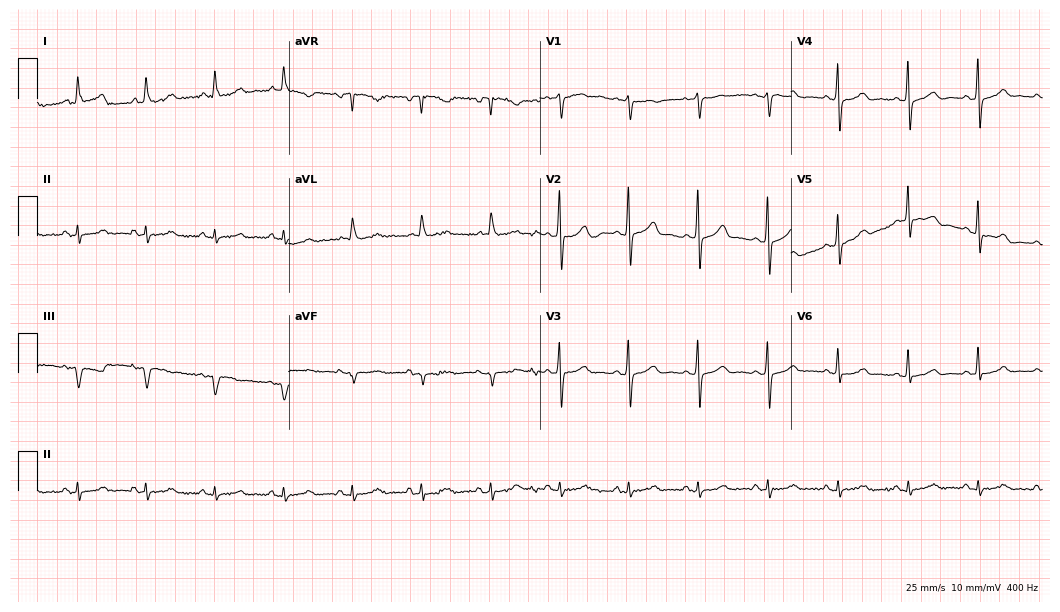
Electrocardiogram, a 76-year-old female. Of the six screened findings (first-degree AV block, right bundle branch block, left bundle branch block, sinus bradycardia, atrial fibrillation, sinus tachycardia), none is recorded. Only these six findings were labelled.